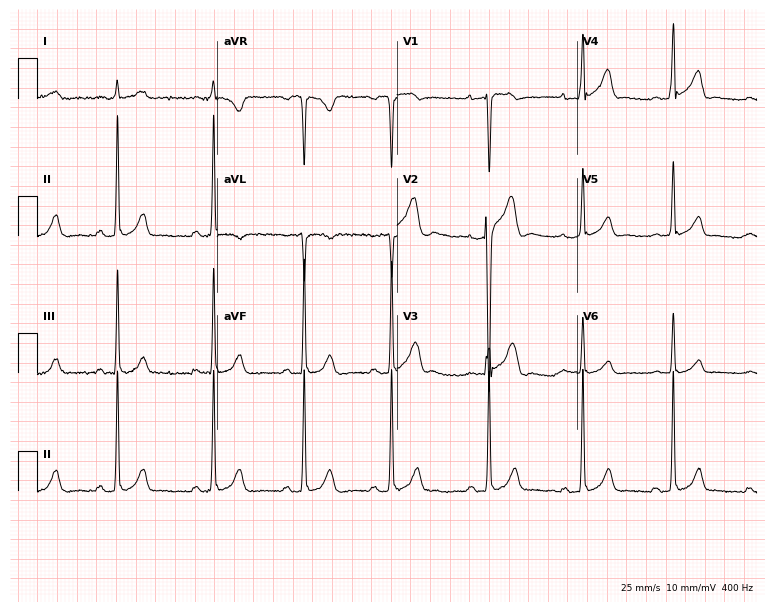
Standard 12-lead ECG recorded from a 21-year-old male. Read as a normal ECG.